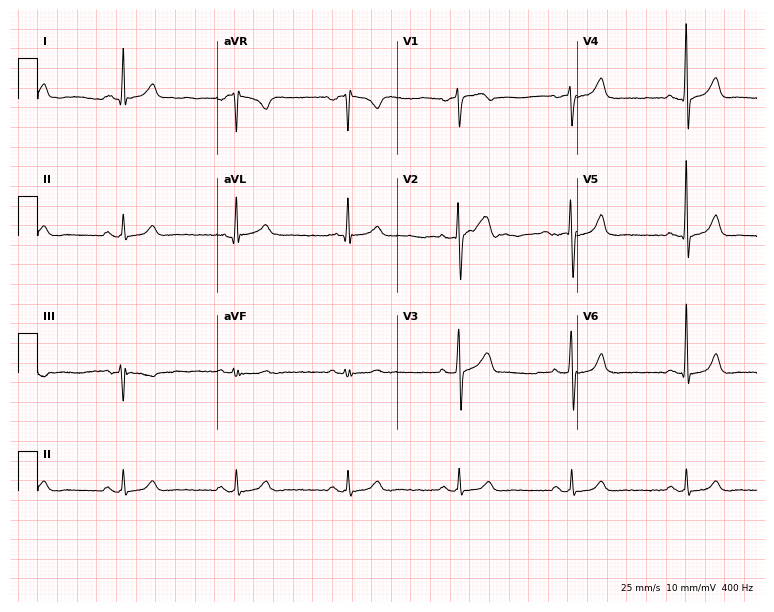
Electrocardiogram, a male, 48 years old. Overall reading on record: normal ECG.